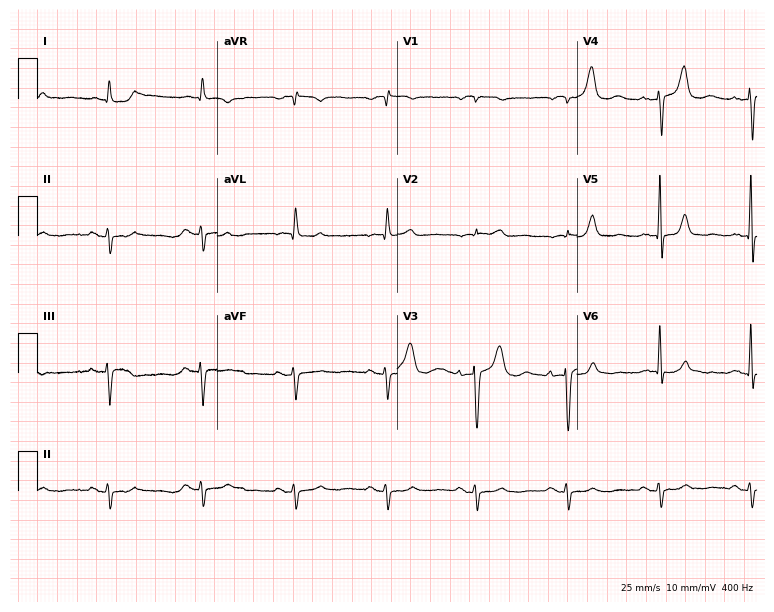
ECG — a 77-year-old female patient. Screened for six findings — first-degree AV block, right bundle branch block, left bundle branch block, sinus bradycardia, atrial fibrillation, sinus tachycardia — none is recorded.